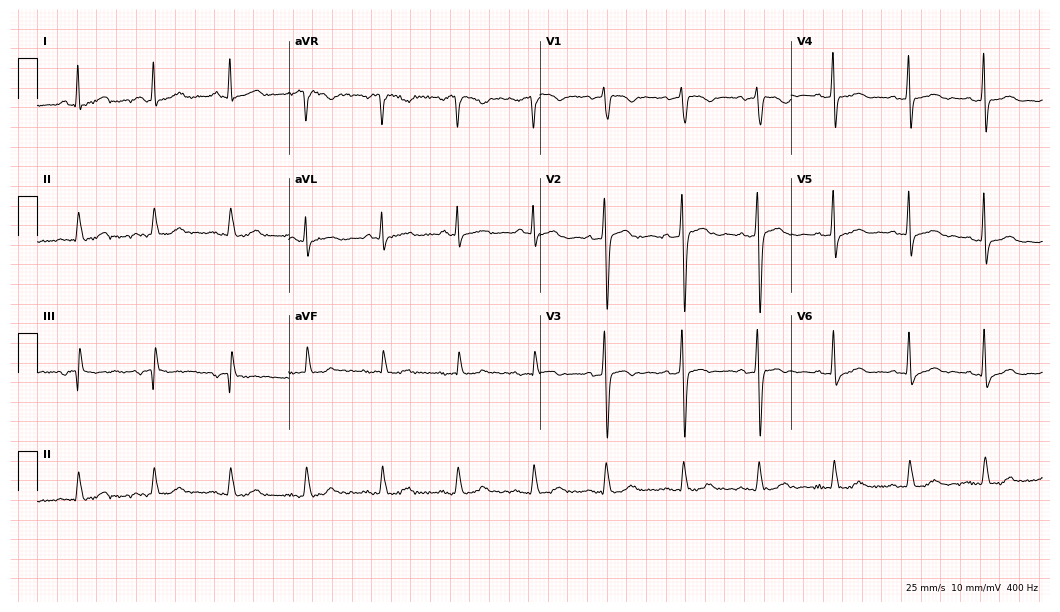
Resting 12-lead electrocardiogram (10.2-second recording at 400 Hz). Patient: a 66-year-old woman. None of these six findings is recorded: first-degree AV block, right bundle branch block (RBBB), left bundle branch block (LBBB), sinus bradycardia, atrial fibrillation (AF), sinus tachycardia.